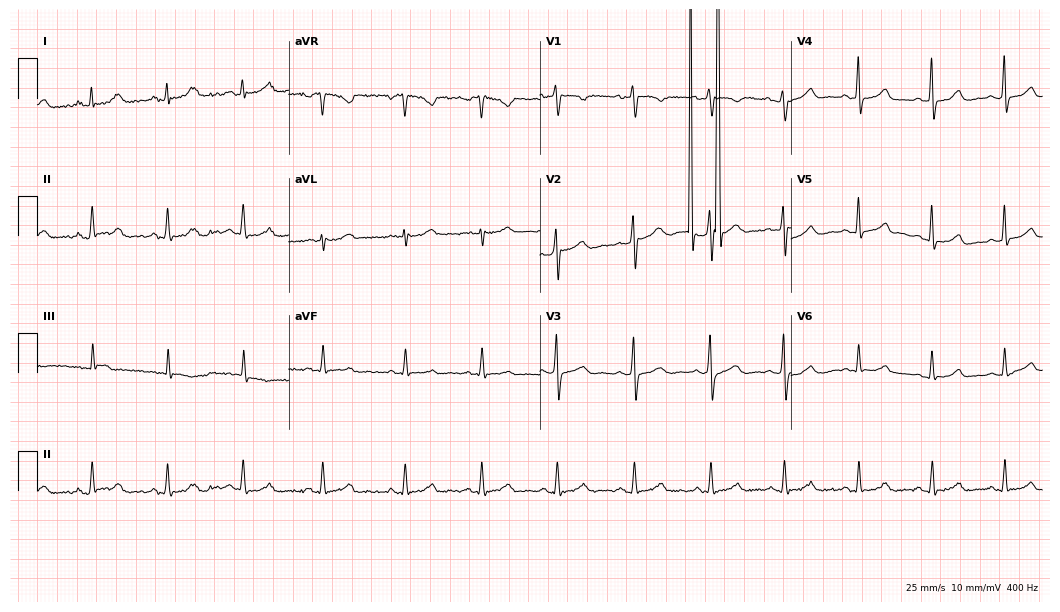
Resting 12-lead electrocardiogram. Patient: a female, 38 years old. None of these six findings is recorded: first-degree AV block, right bundle branch block, left bundle branch block, sinus bradycardia, atrial fibrillation, sinus tachycardia.